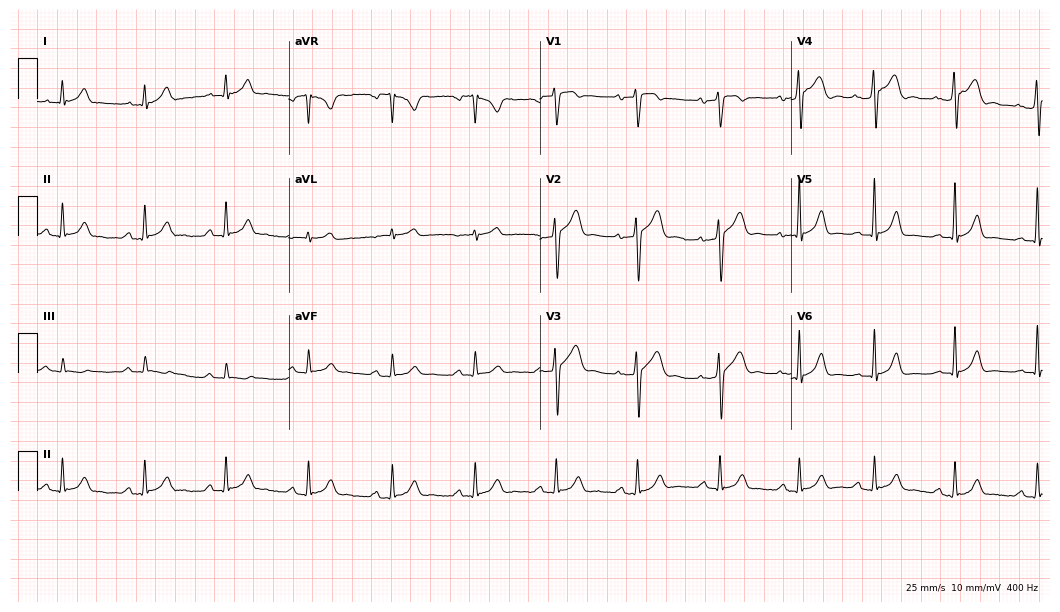
Resting 12-lead electrocardiogram (10.2-second recording at 400 Hz). Patient: a 43-year-old man. None of these six findings is recorded: first-degree AV block, right bundle branch block, left bundle branch block, sinus bradycardia, atrial fibrillation, sinus tachycardia.